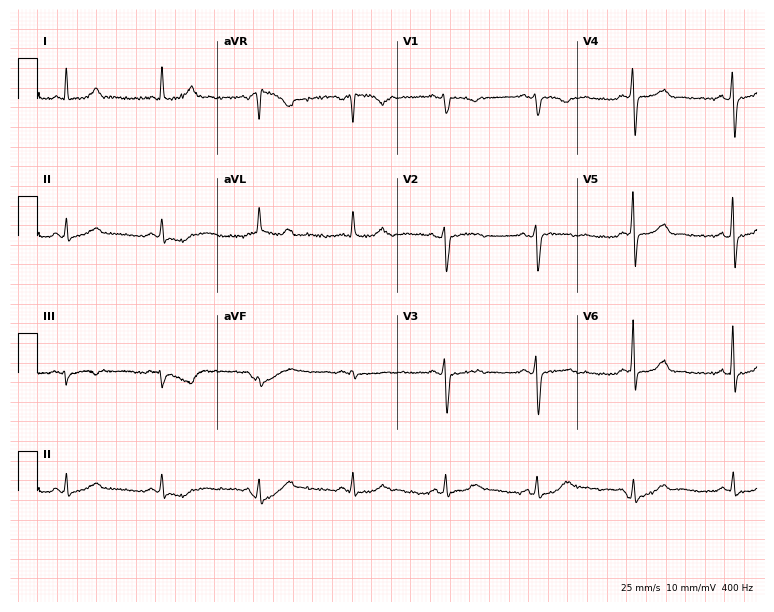
ECG (7.3-second recording at 400 Hz) — a 42-year-old female. Screened for six findings — first-degree AV block, right bundle branch block (RBBB), left bundle branch block (LBBB), sinus bradycardia, atrial fibrillation (AF), sinus tachycardia — none is recorded. Findings outside these six are not listed.